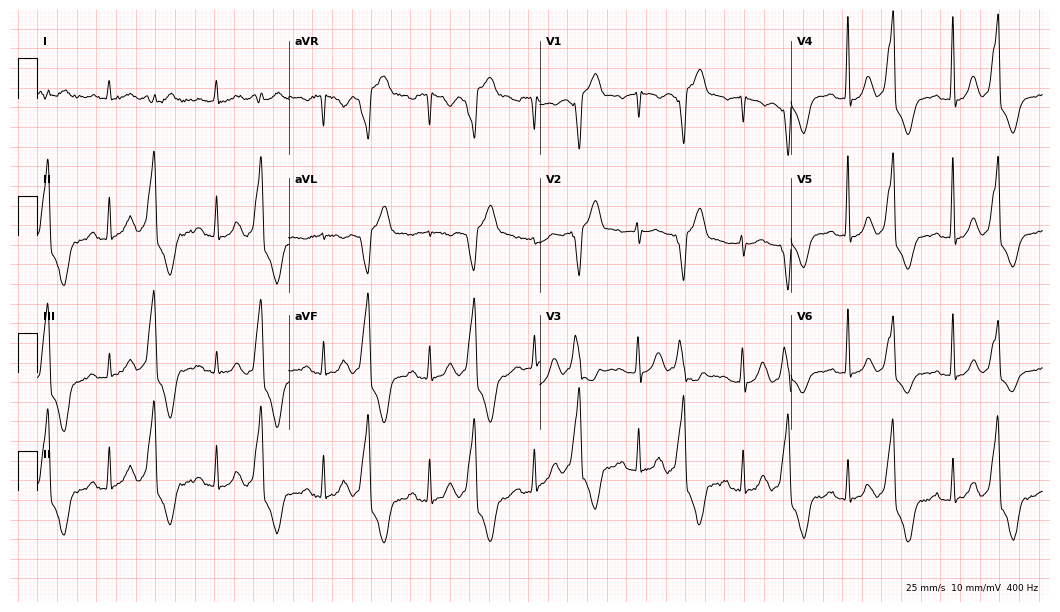
Resting 12-lead electrocardiogram. Patient: a man, 79 years old. None of these six findings is recorded: first-degree AV block, right bundle branch block, left bundle branch block, sinus bradycardia, atrial fibrillation, sinus tachycardia.